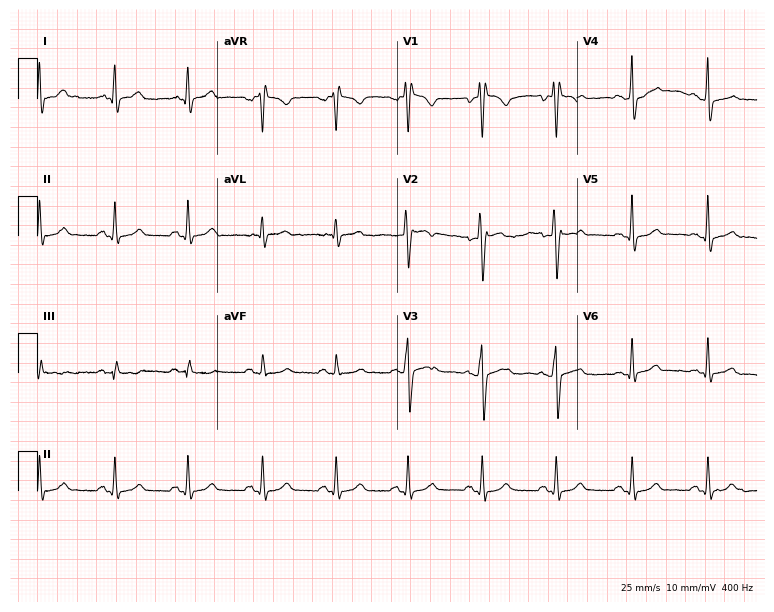
12-lead ECG from a 24-year-old man. Screened for six findings — first-degree AV block, right bundle branch block (RBBB), left bundle branch block (LBBB), sinus bradycardia, atrial fibrillation (AF), sinus tachycardia — none is recorded. Only these six findings were labelled.